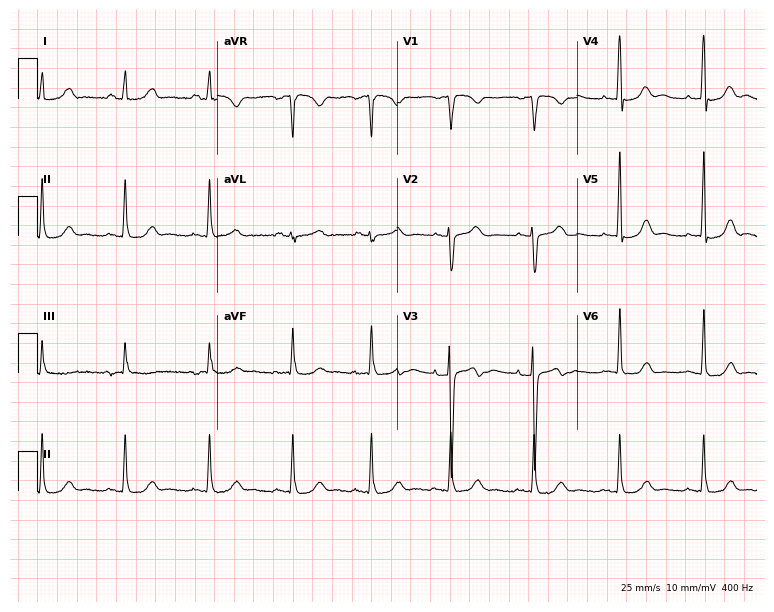
Electrocardiogram (7.3-second recording at 400 Hz), a 34-year-old woman. Of the six screened findings (first-degree AV block, right bundle branch block (RBBB), left bundle branch block (LBBB), sinus bradycardia, atrial fibrillation (AF), sinus tachycardia), none is recorded. Findings outside these six are not listed.